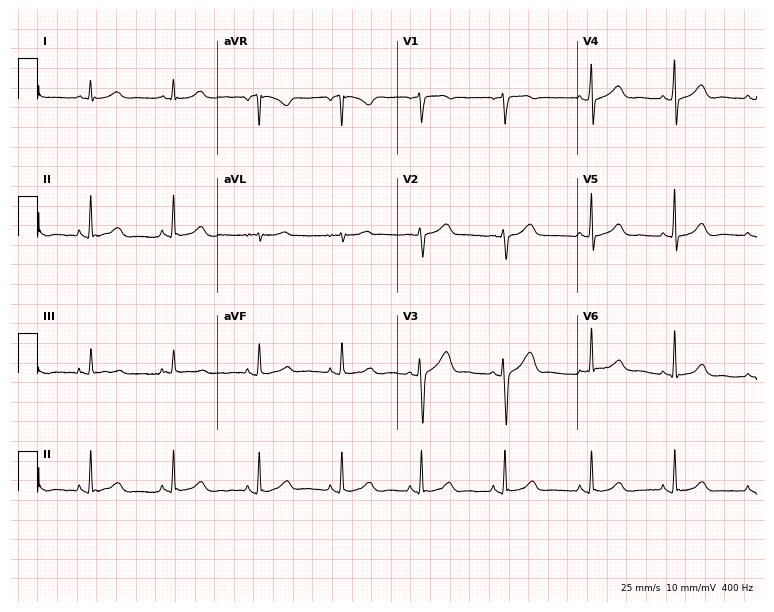
12-lead ECG from a 37-year-old man (7.3-second recording at 400 Hz). Recorded interpretation: within normal limits.